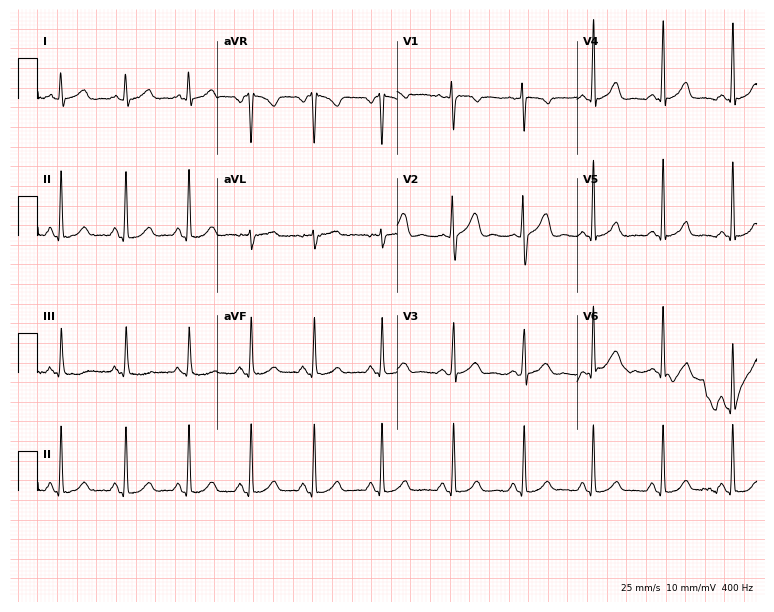
Standard 12-lead ECG recorded from a woman, 33 years old. Read as a normal ECG.